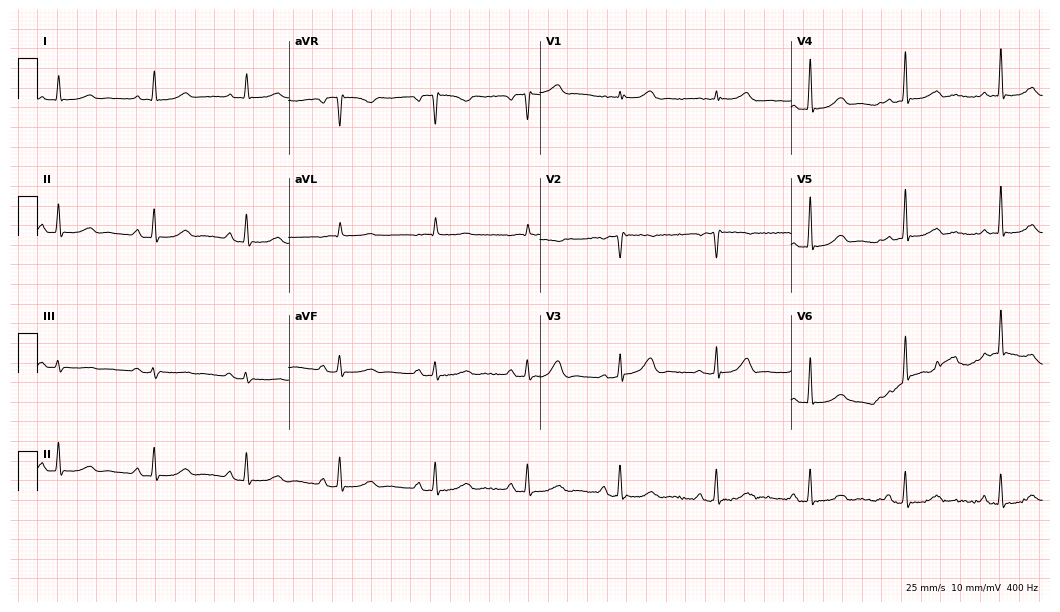
Electrocardiogram, a male patient, 81 years old. Of the six screened findings (first-degree AV block, right bundle branch block (RBBB), left bundle branch block (LBBB), sinus bradycardia, atrial fibrillation (AF), sinus tachycardia), none is recorded. Findings outside these six are not listed.